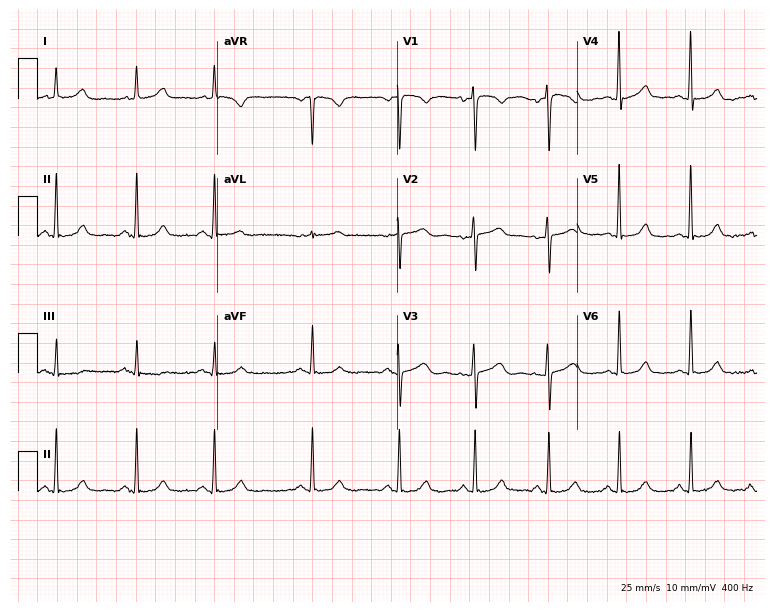
12-lead ECG from a female patient, 48 years old. Screened for six findings — first-degree AV block, right bundle branch block, left bundle branch block, sinus bradycardia, atrial fibrillation, sinus tachycardia — none is recorded. Only these six findings were labelled.